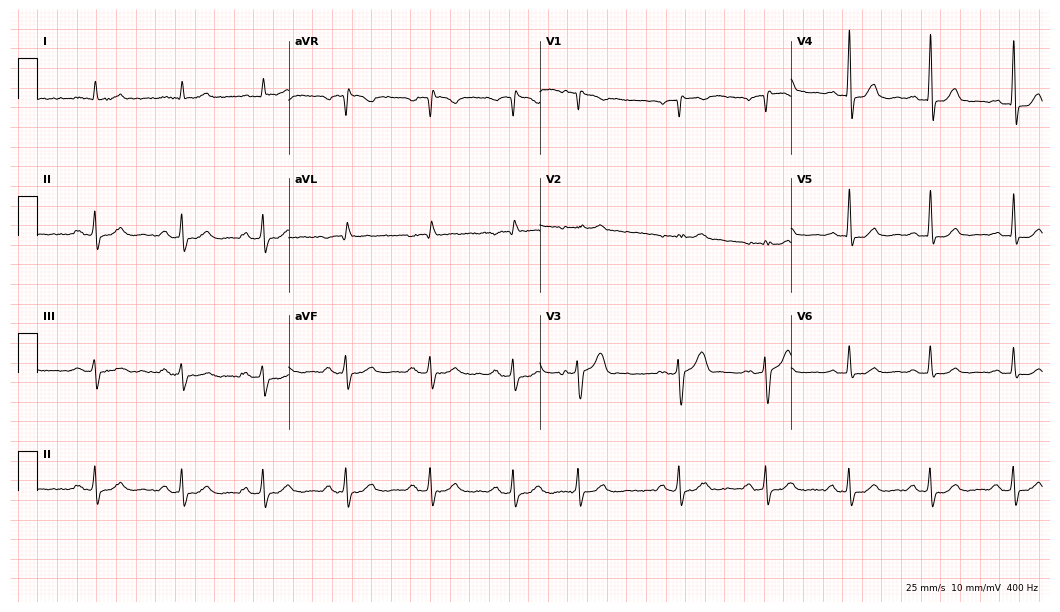
Resting 12-lead electrocardiogram. Patient: a 56-year-old male. None of these six findings is recorded: first-degree AV block, right bundle branch block, left bundle branch block, sinus bradycardia, atrial fibrillation, sinus tachycardia. Findings outside these six are not listed.